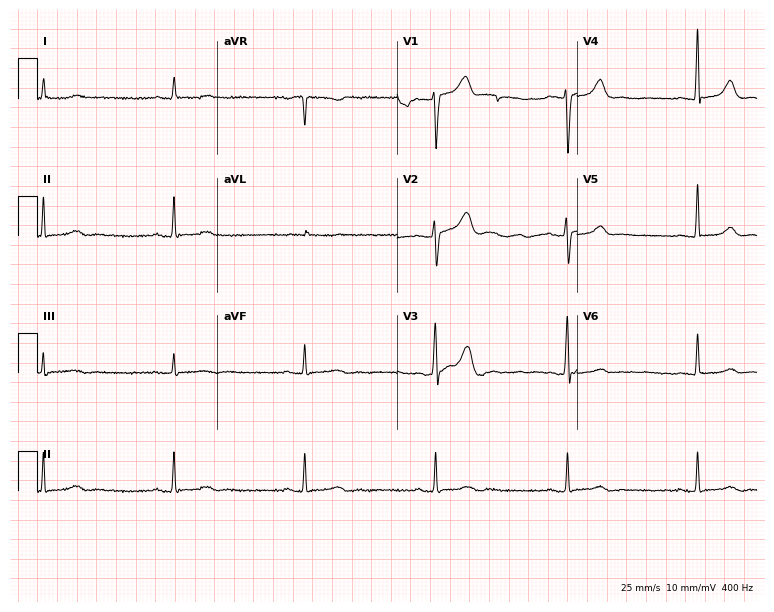
12-lead ECG from a 75-year-old man. Shows sinus bradycardia (a sinus rate of 50 beats per minute or less).